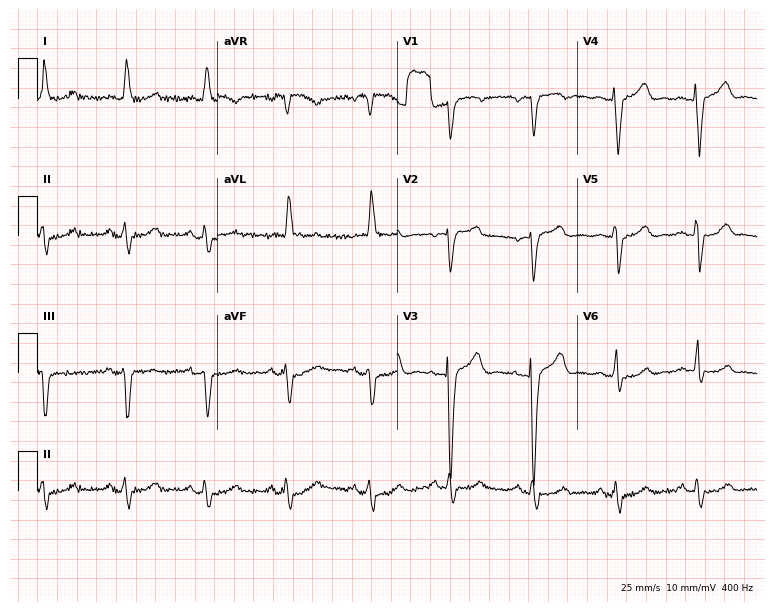
12-lead ECG from a 52-year-old female (7.3-second recording at 400 Hz). No first-degree AV block, right bundle branch block (RBBB), left bundle branch block (LBBB), sinus bradycardia, atrial fibrillation (AF) or sinus tachycardia recorded for this tracing.